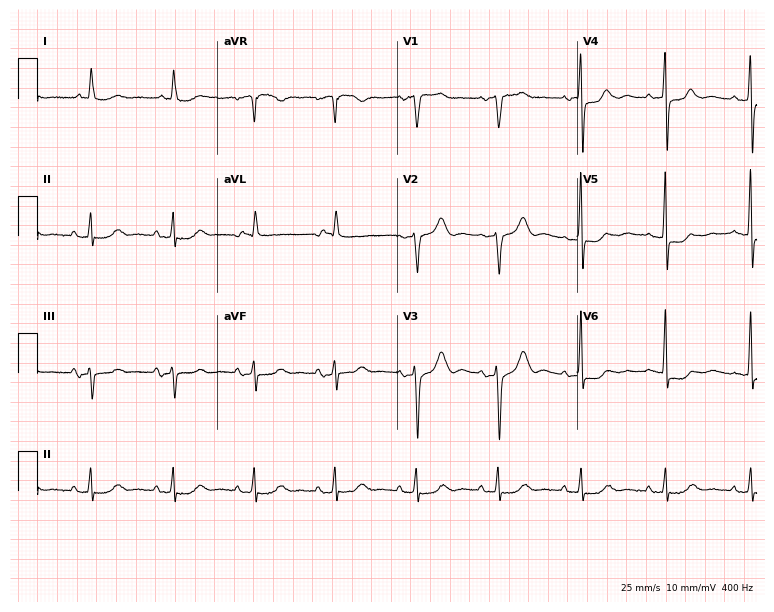
Electrocardiogram (7.3-second recording at 400 Hz), an 86-year-old man. Of the six screened findings (first-degree AV block, right bundle branch block (RBBB), left bundle branch block (LBBB), sinus bradycardia, atrial fibrillation (AF), sinus tachycardia), none is recorded. Other findings, if any, are not listed.